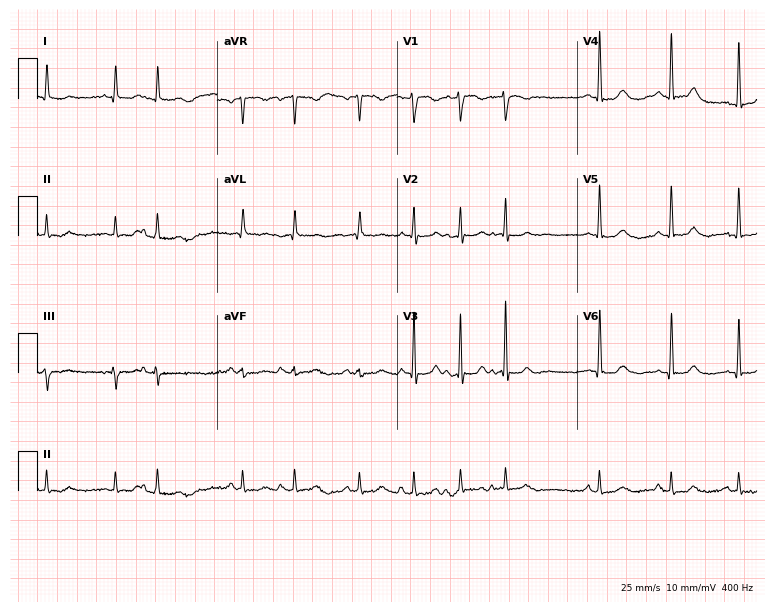
Standard 12-lead ECG recorded from a female patient, 71 years old (7.3-second recording at 400 Hz). None of these six findings is recorded: first-degree AV block, right bundle branch block, left bundle branch block, sinus bradycardia, atrial fibrillation, sinus tachycardia.